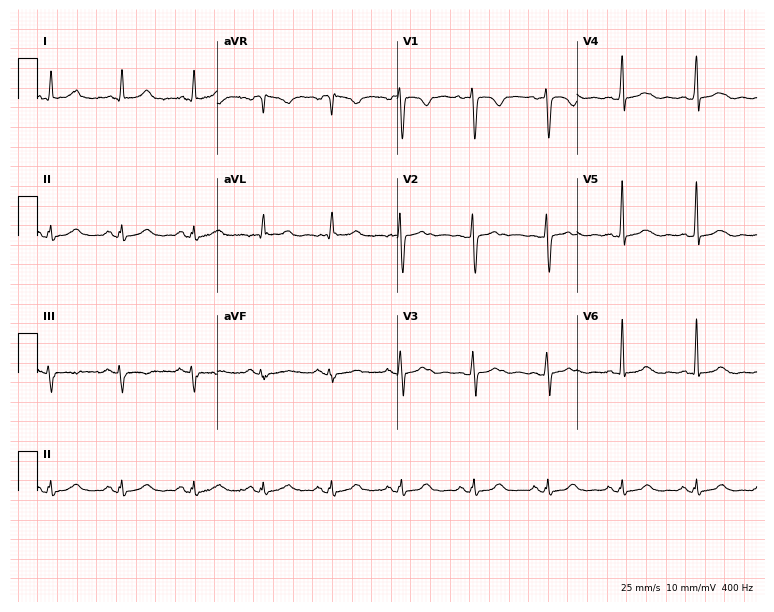
Resting 12-lead electrocardiogram. Patient: a 40-year-old woman. Read as a normal ECG.